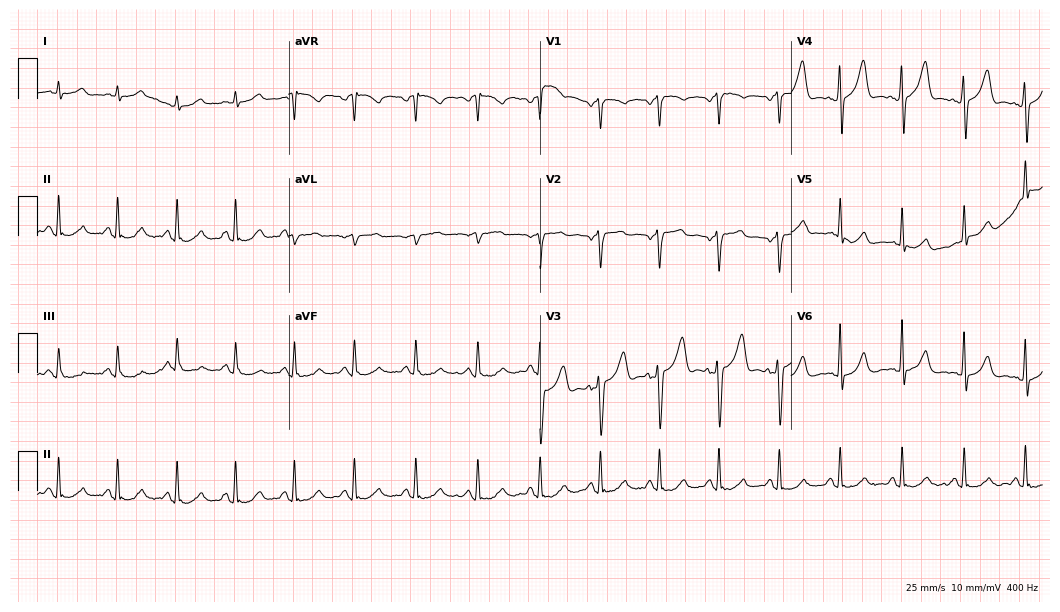
ECG (10.2-second recording at 400 Hz) — a 60-year-old male patient. Labelled as a normal ECG.